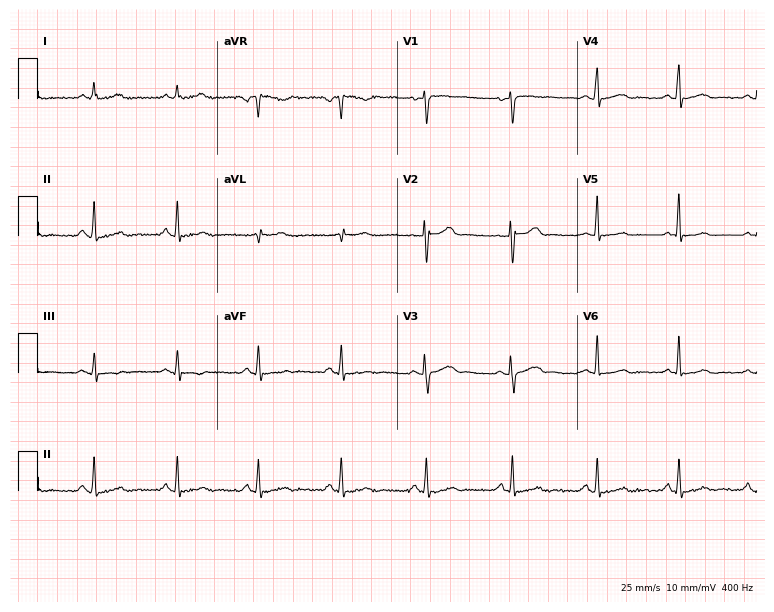
Resting 12-lead electrocardiogram. Patient: a 29-year-old female. Read as a normal ECG.